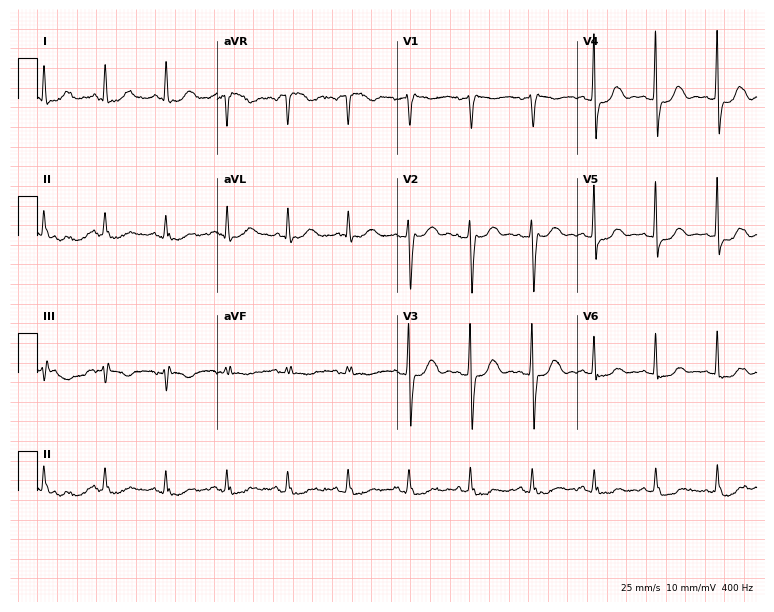
ECG (7.3-second recording at 400 Hz) — a 66-year-old female. Screened for six findings — first-degree AV block, right bundle branch block (RBBB), left bundle branch block (LBBB), sinus bradycardia, atrial fibrillation (AF), sinus tachycardia — none is recorded.